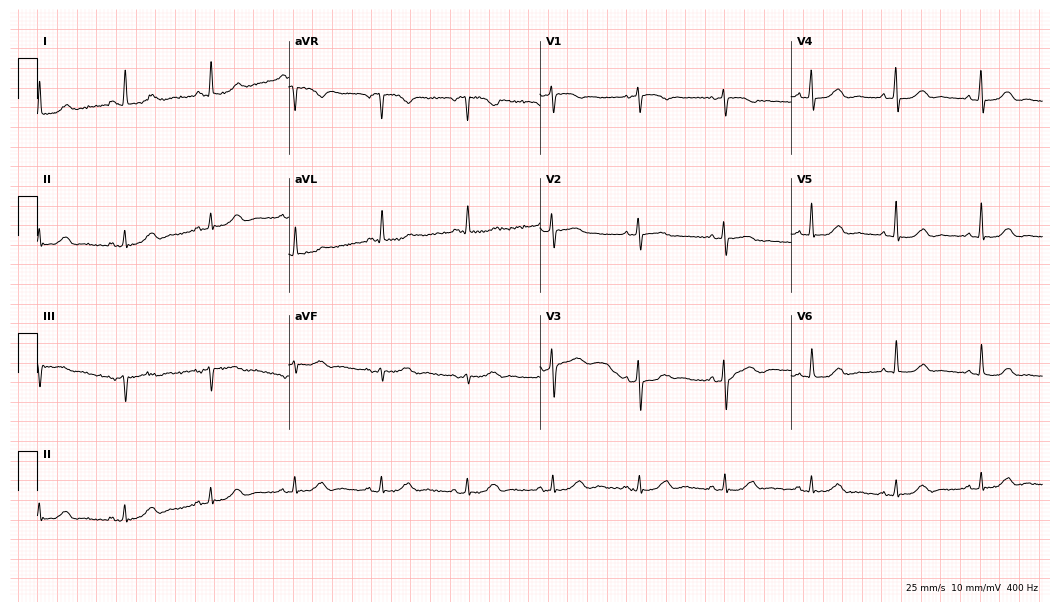
Resting 12-lead electrocardiogram (10.2-second recording at 400 Hz). Patient: a female, 81 years old. Read as a normal ECG.